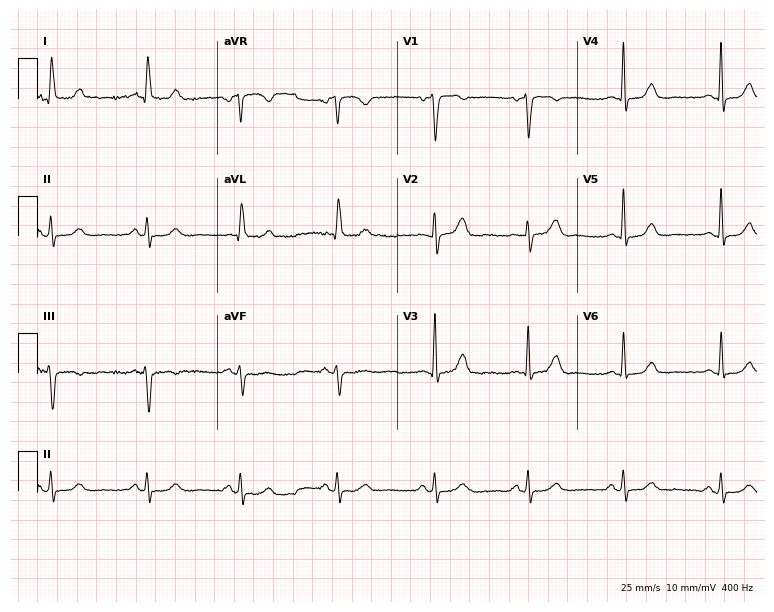
ECG — a 69-year-old female. Labelled as a normal ECG.